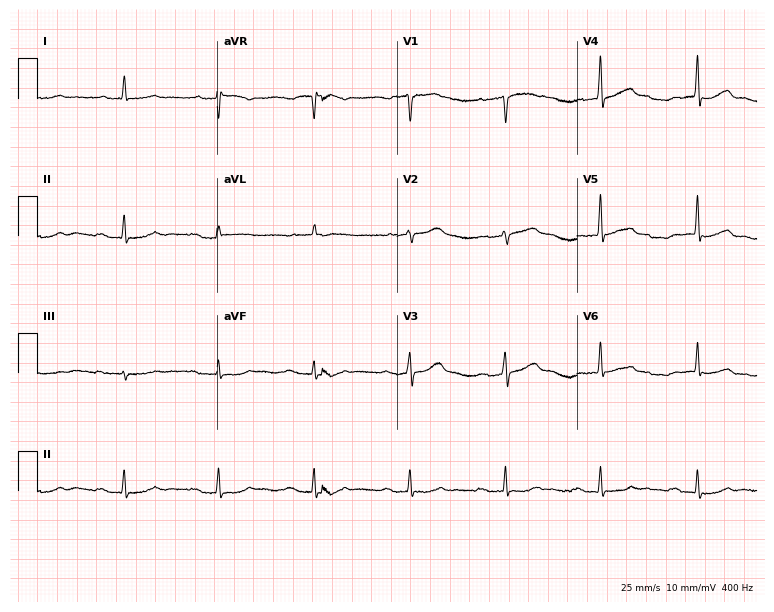
12-lead ECG from an 84-year-old male patient (7.3-second recording at 400 Hz). Shows first-degree AV block.